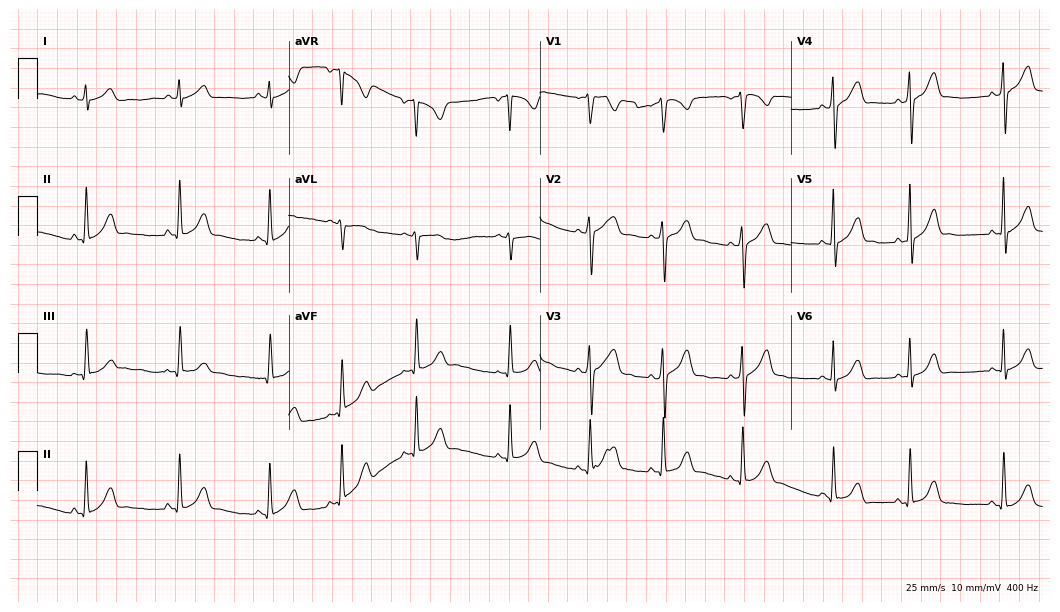
Standard 12-lead ECG recorded from a 24-year-old female (10.2-second recording at 400 Hz). Read as a normal ECG.